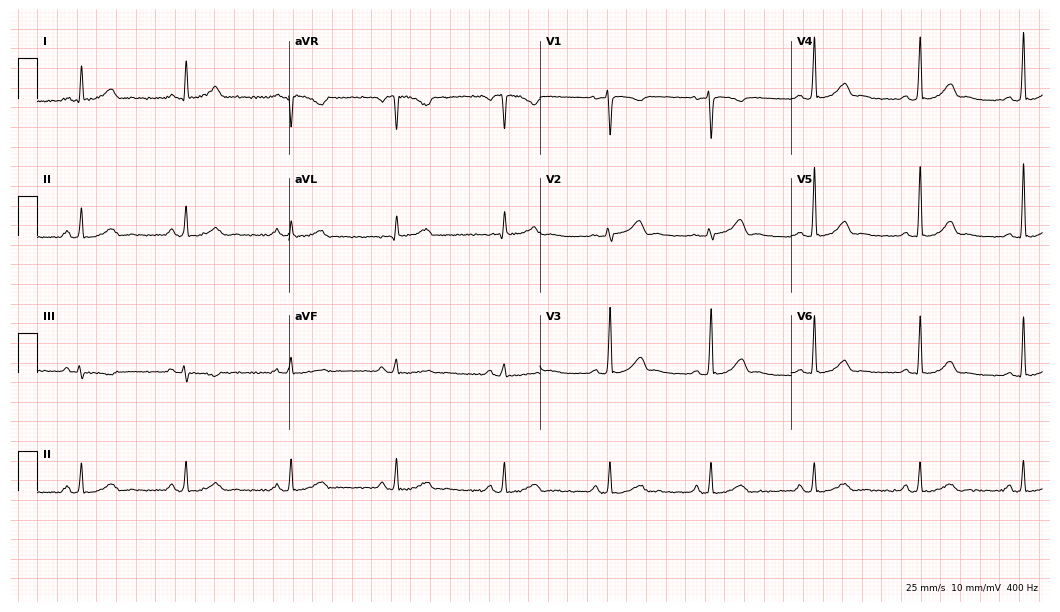
12-lead ECG from a female patient, 44 years old. Labelled as a normal ECG.